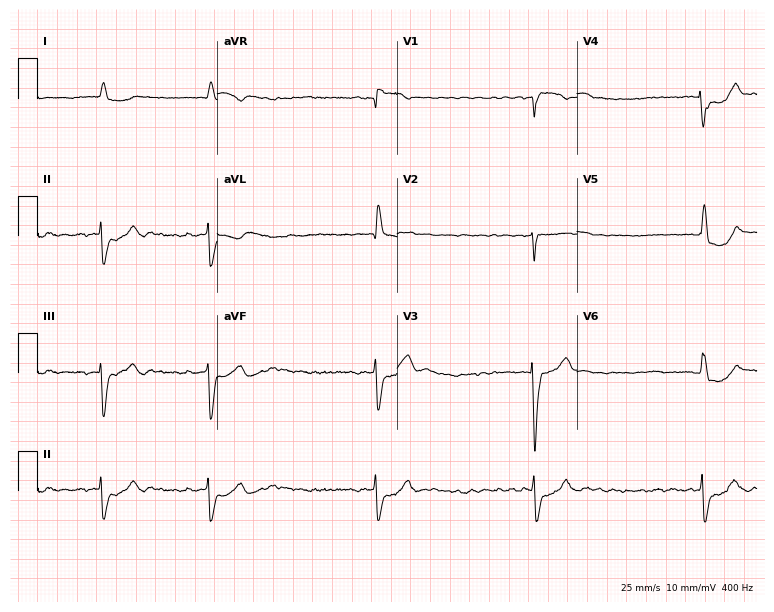
Electrocardiogram, an 82-year-old male. Interpretation includes atrial fibrillation (AF).